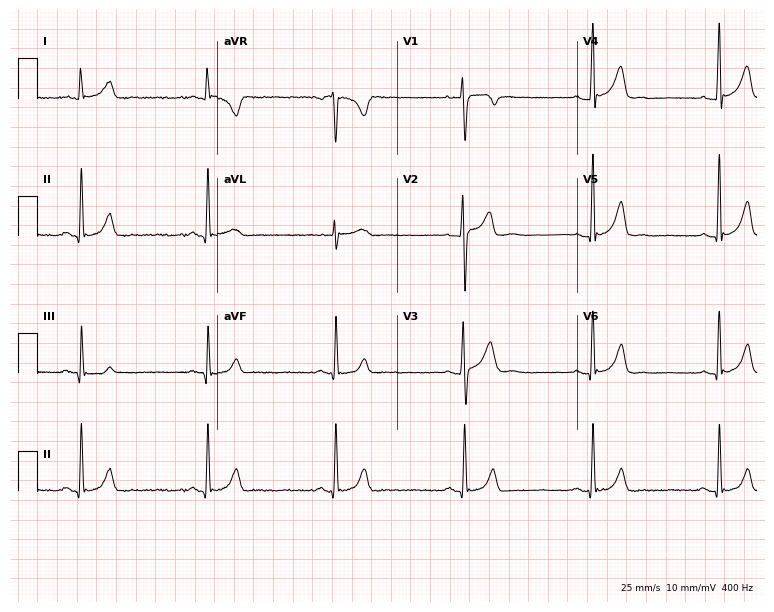
Standard 12-lead ECG recorded from a 28-year-old male patient (7.3-second recording at 400 Hz). None of these six findings is recorded: first-degree AV block, right bundle branch block, left bundle branch block, sinus bradycardia, atrial fibrillation, sinus tachycardia. Findings outside these six are not listed.